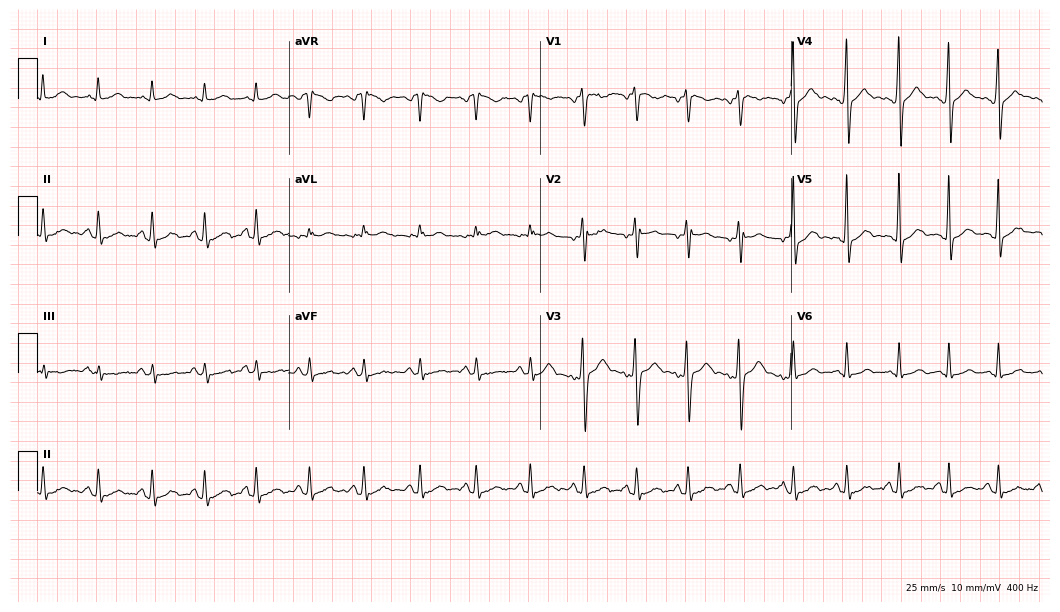
Standard 12-lead ECG recorded from a man, 30 years old (10.2-second recording at 400 Hz). The tracing shows sinus tachycardia (a sinus rate of 100 beats per minute or more).